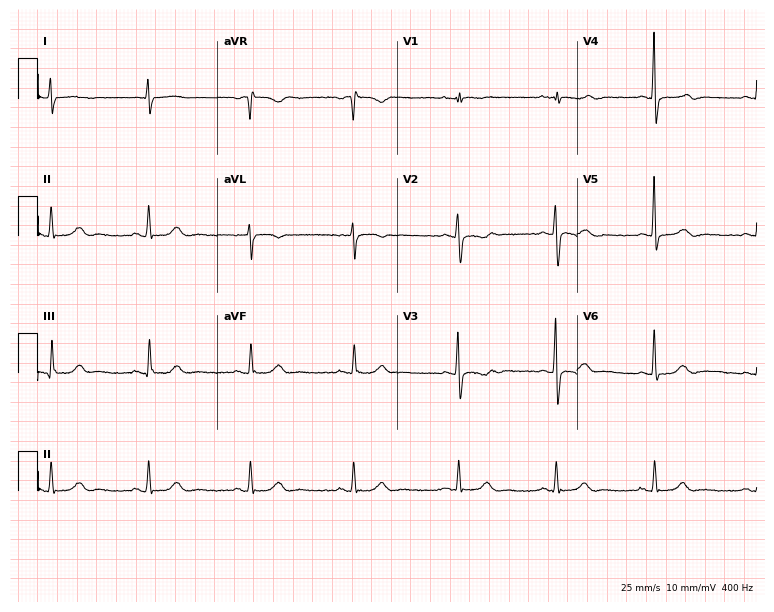
Electrocardiogram, a female patient, 32 years old. Of the six screened findings (first-degree AV block, right bundle branch block, left bundle branch block, sinus bradycardia, atrial fibrillation, sinus tachycardia), none is recorded. Other findings, if any, are not listed.